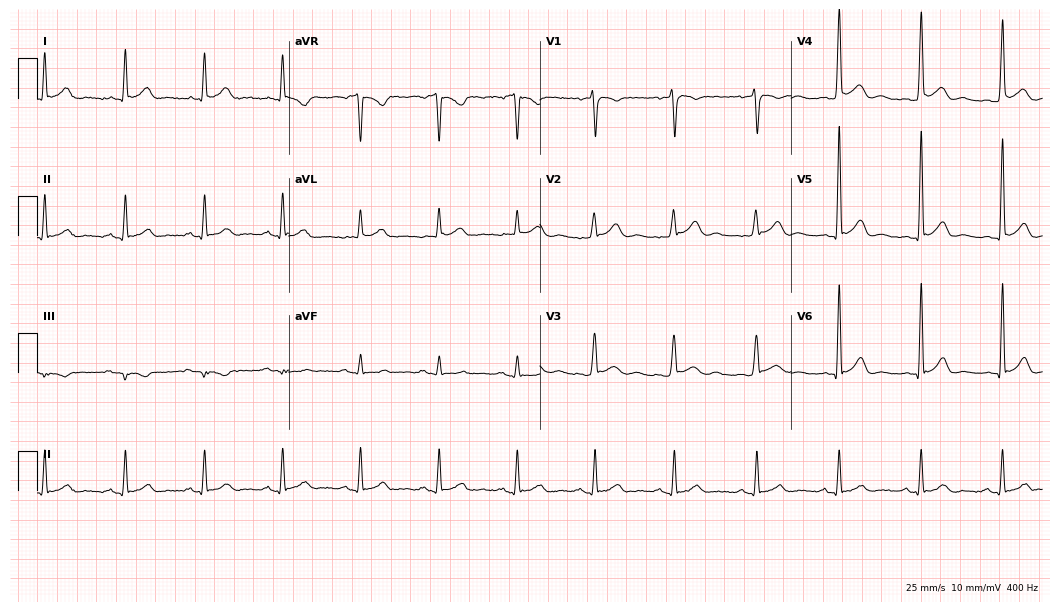
12-lead ECG from a 39-year-old male patient. No first-degree AV block, right bundle branch block, left bundle branch block, sinus bradycardia, atrial fibrillation or sinus tachycardia recorded for this tracing. Findings outside these six are not listed.